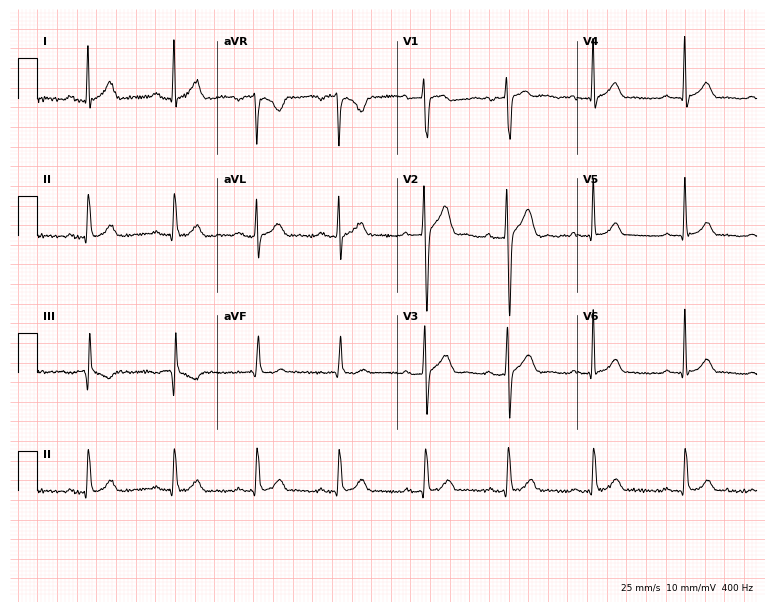
12-lead ECG (7.3-second recording at 400 Hz) from a 34-year-old male. Screened for six findings — first-degree AV block, right bundle branch block, left bundle branch block, sinus bradycardia, atrial fibrillation, sinus tachycardia — none is recorded. Other findings, if any, are not listed.